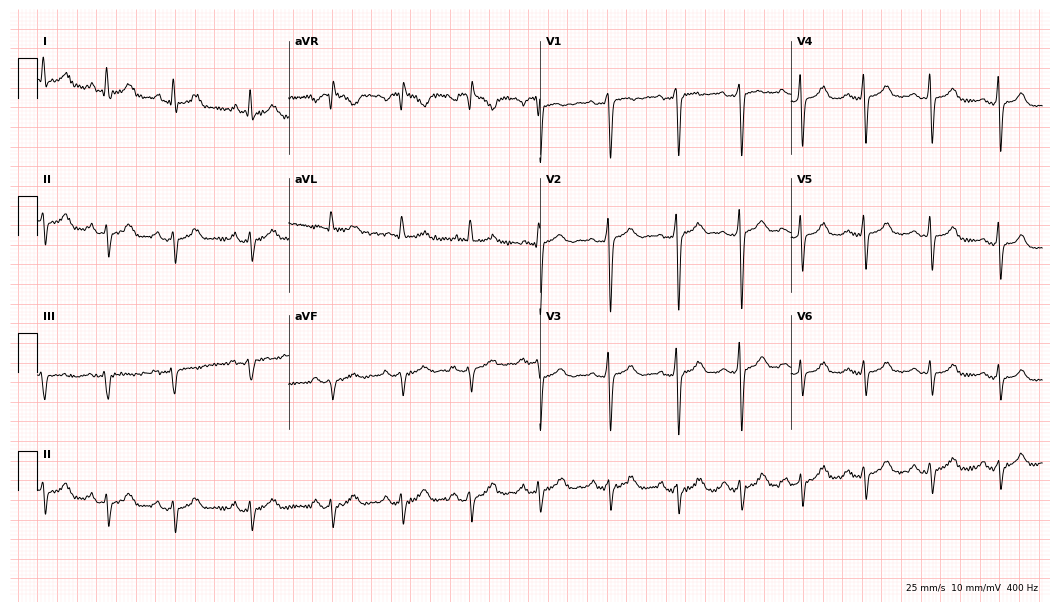
12-lead ECG from a 48-year-old female. No first-degree AV block, right bundle branch block (RBBB), left bundle branch block (LBBB), sinus bradycardia, atrial fibrillation (AF) or sinus tachycardia recorded for this tracing. Other findings, if any, are not listed.